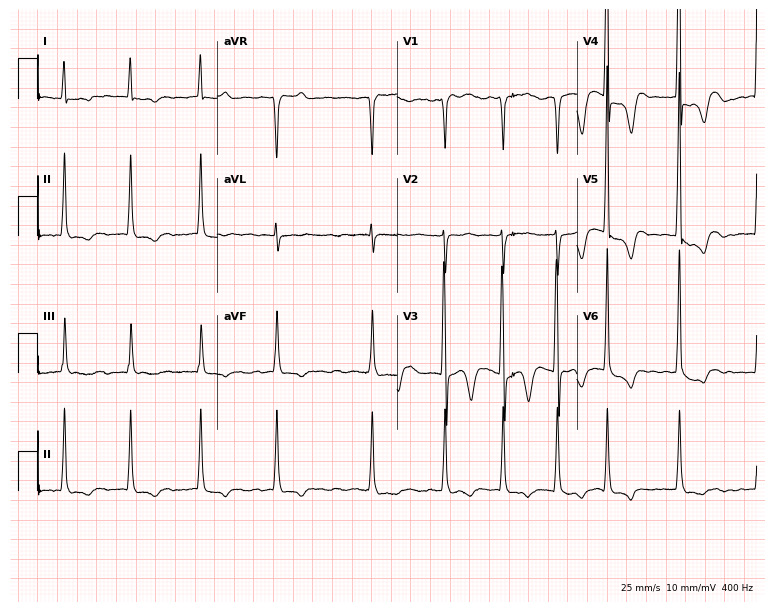
Resting 12-lead electrocardiogram (7.3-second recording at 400 Hz). Patient: a man, 70 years old. The tracing shows atrial fibrillation.